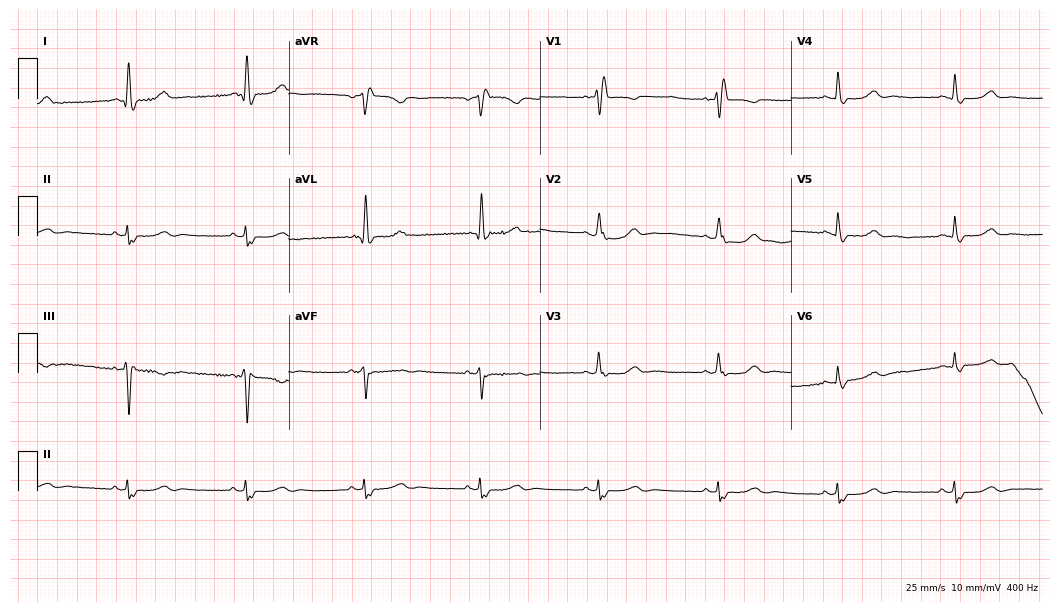
Electrocardiogram (10.2-second recording at 400 Hz), a 63-year-old female. Interpretation includes right bundle branch block (RBBB), sinus bradycardia (a sinus rate of 50 beats per minute or less).